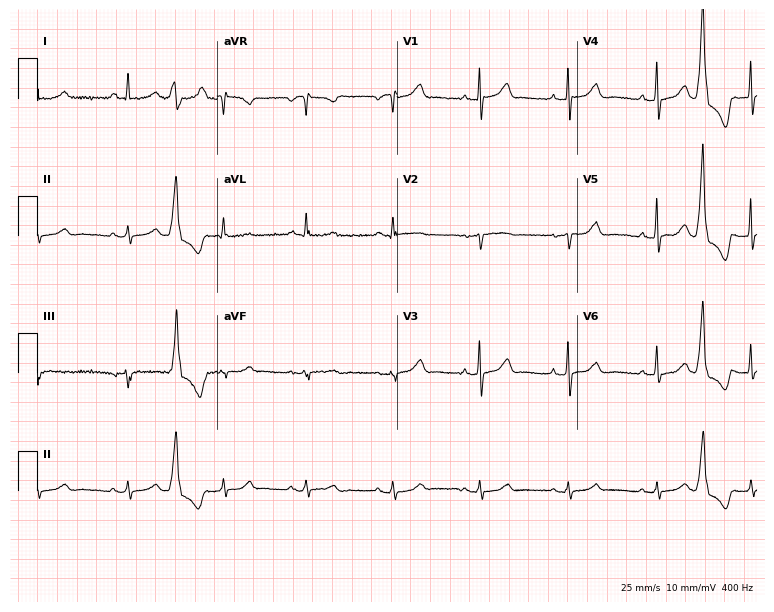
ECG — a 62-year-old woman. Screened for six findings — first-degree AV block, right bundle branch block (RBBB), left bundle branch block (LBBB), sinus bradycardia, atrial fibrillation (AF), sinus tachycardia — none is recorded.